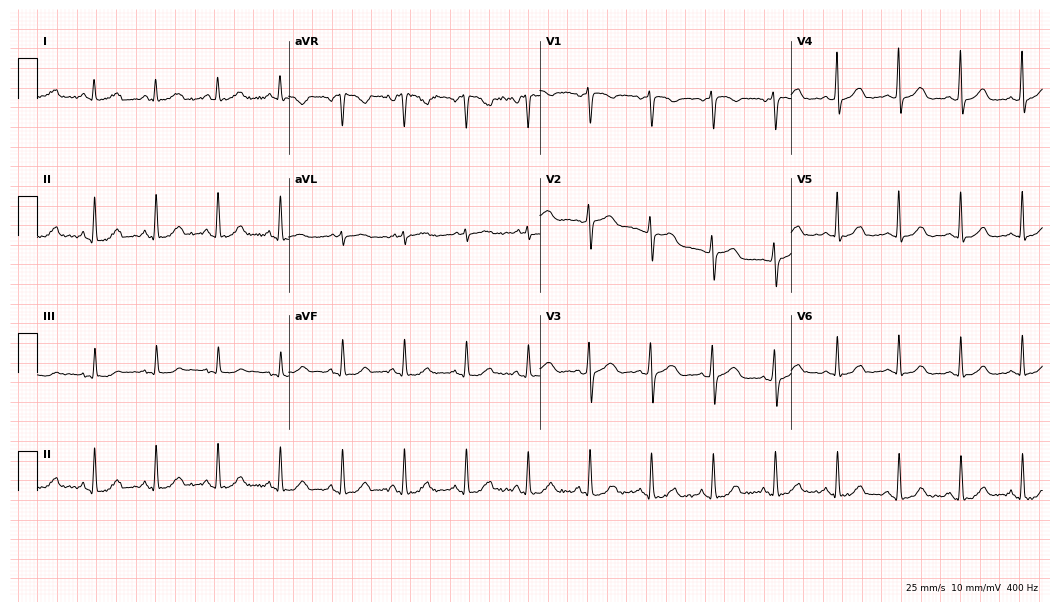
12-lead ECG from a female, 53 years old. Recorded interpretation: within normal limits.